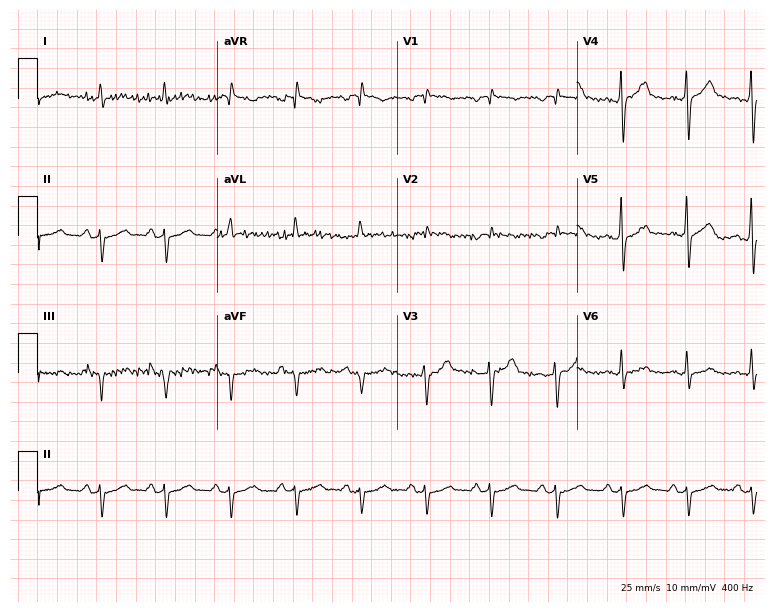
Resting 12-lead electrocardiogram. Patient: a man, 68 years old. None of these six findings is recorded: first-degree AV block, right bundle branch block, left bundle branch block, sinus bradycardia, atrial fibrillation, sinus tachycardia. Findings outside these six are not listed.